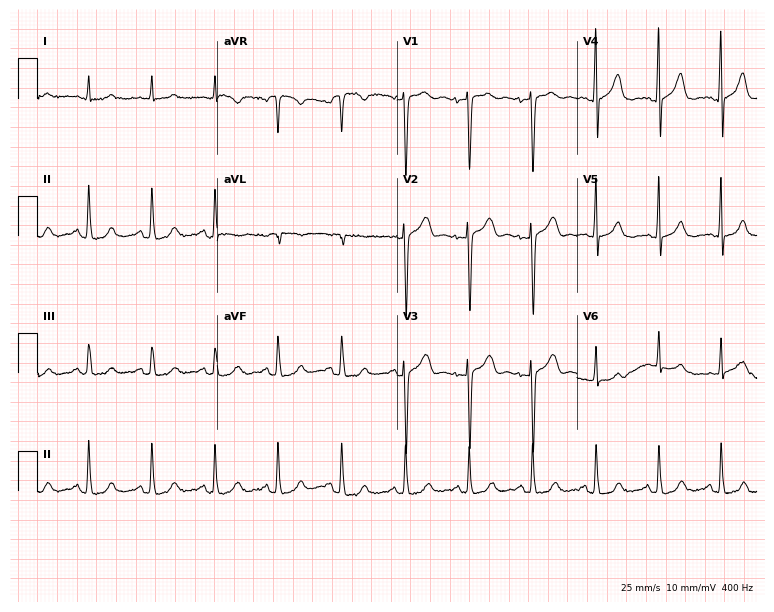
Resting 12-lead electrocardiogram (7.3-second recording at 400 Hz). Patient: a woman, 83 years old. None of these six findings is recorded: first-degree AV block, right bundle branch block, left bundle branch block, sinus bradycardia, atrial fibrillation, sinus tachycardia. Findings outside these six are not listed.